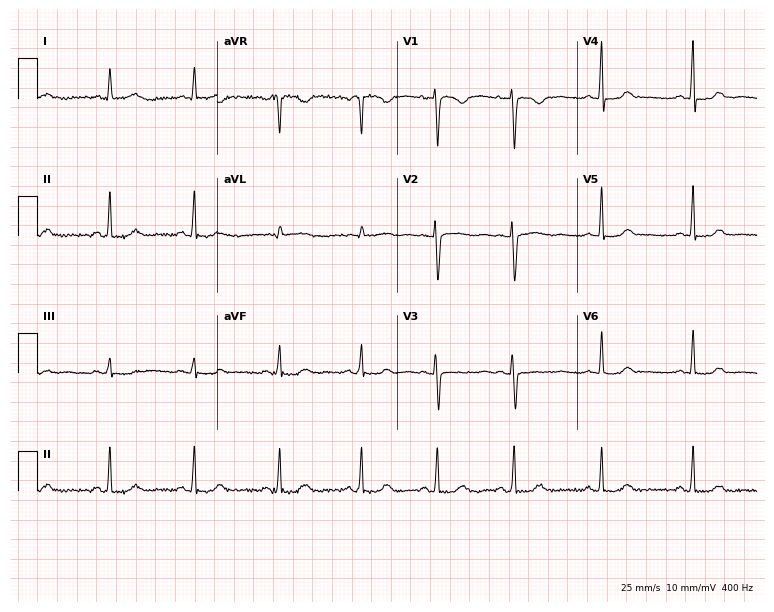
Resting 12-lead electrocardiogram (7.3-second recording at 400 Hz). Patient: a female, 50 years old. Read as a normal ECG.